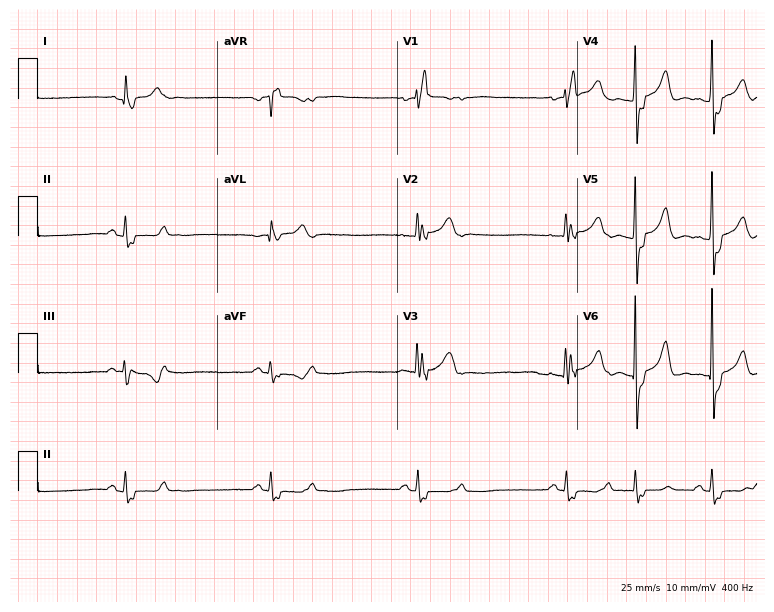
Electrocardiogram, a 48-year-old man. Interpretation includes right bundle branch block.